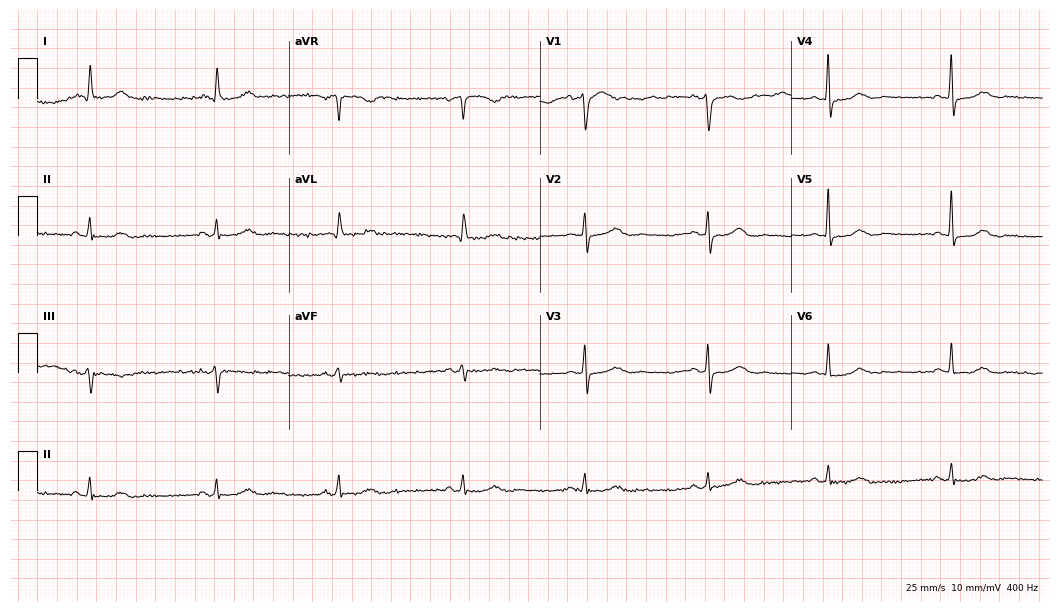
12-lead ECG from a 62-year-old female. Shows sinus bradycardia (a sinus rate of 50 beats per minute or less).